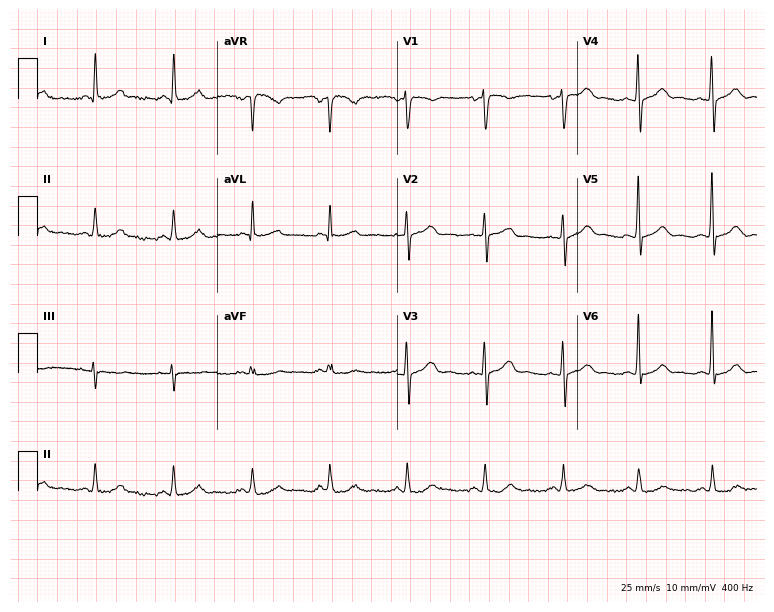
ECG — a female, 54 years old. Screened for six findings — first-degree AV block, right bundle branch block (RBBB), left bundle branch block (LBBB), sinus bradycardia, atrial fibrillation (AF), sinus tachycardia — none is recorded.